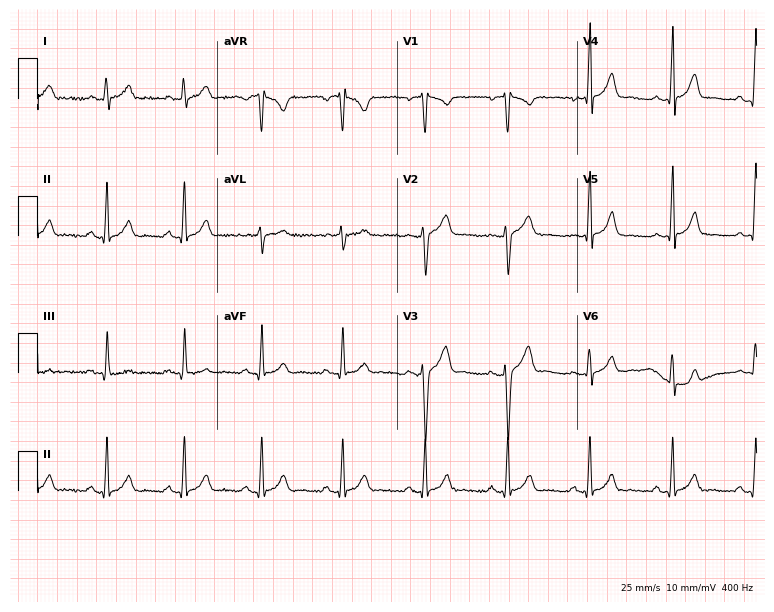
12-lead ECG from a male, 43 years old (7.3-second recording at 400 Hz). Recorded interpretation: within normal limits.